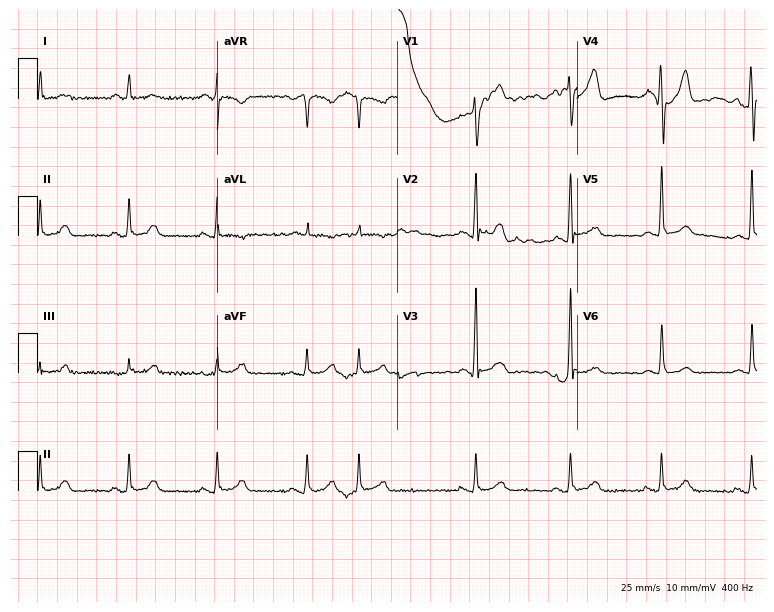
ECG (7.3-second recording at 400 Hz) — a 53-year-old male patient. Screened for six findings — first-degree AV block, right bundle branch block, left bundle branch block, sinus bradycardia, atrial fibrillation, sinus tachycardia — none is recorded. Findings outside these six are not listed.